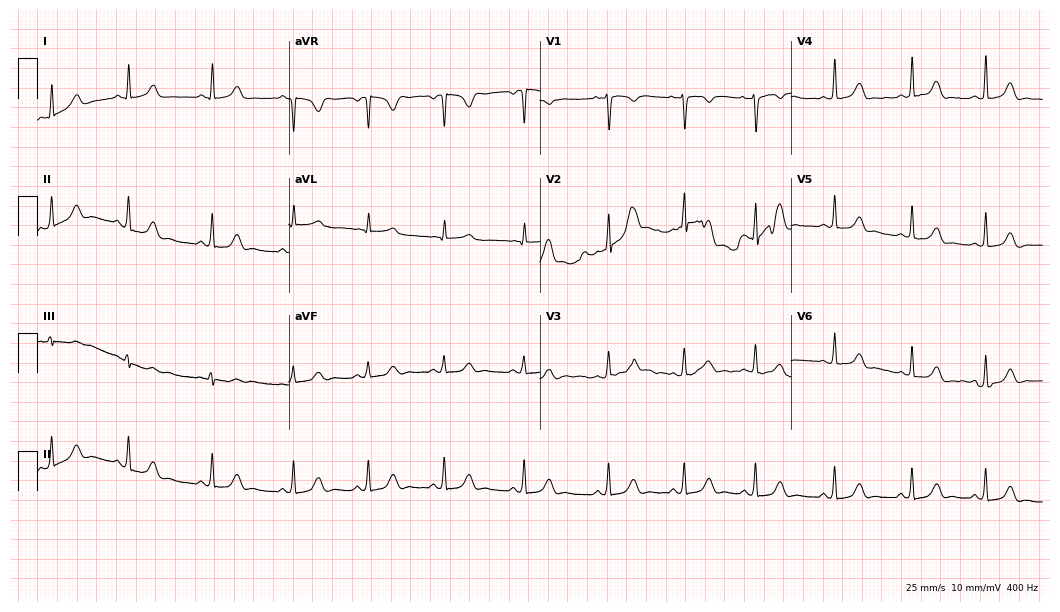
Electrocardiogram, a female patient, 17 years old. Overall reading on record: normal ECG.